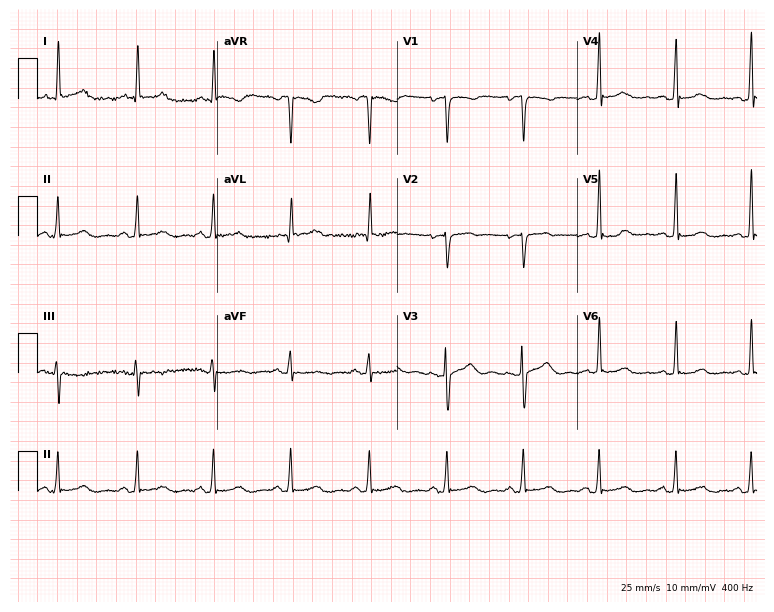
12-lead ECG from a 24-year-old woman. No first-degree AV block, right bundle branch block, left bundle branch block, sinus bradycardia, atrial fibrillation or sinus tachycardia recorded for this tracing.